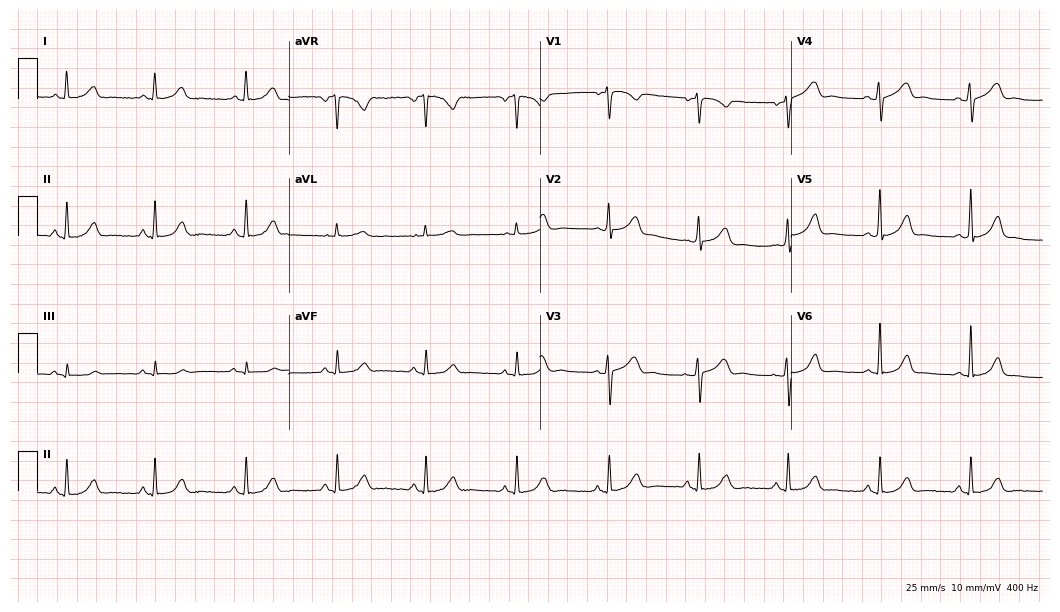
Resting 12-lead electrocardiogram (10.2-second recording at 400 Hz). Patient: a 42-year-old female. None of these six findings is recorded: first-degree AV block, right bundle branch block, left bundle branch block, sinus bradycardia, atrial fibrillation, sinus tachycardia.